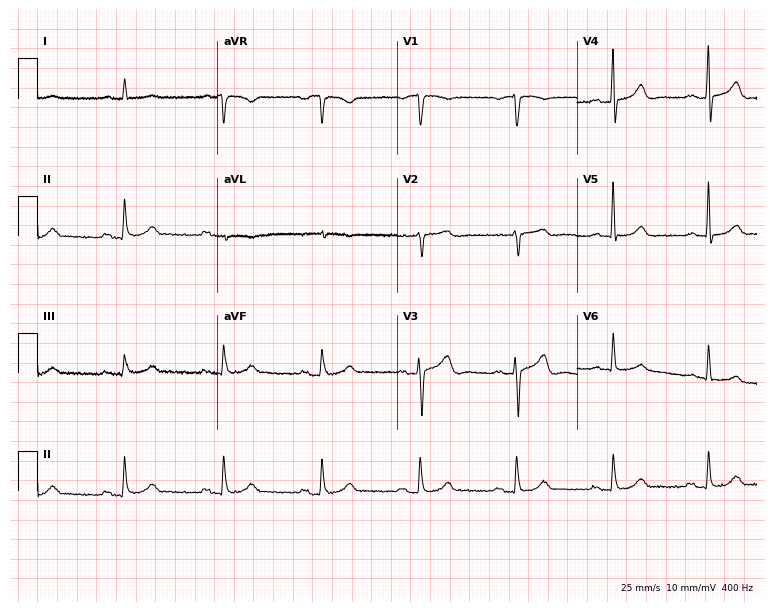
Electrocardiogram (7.3-second recording at 400 Hz), a 74-year-old man. Interpretation includes first-degree AV block.